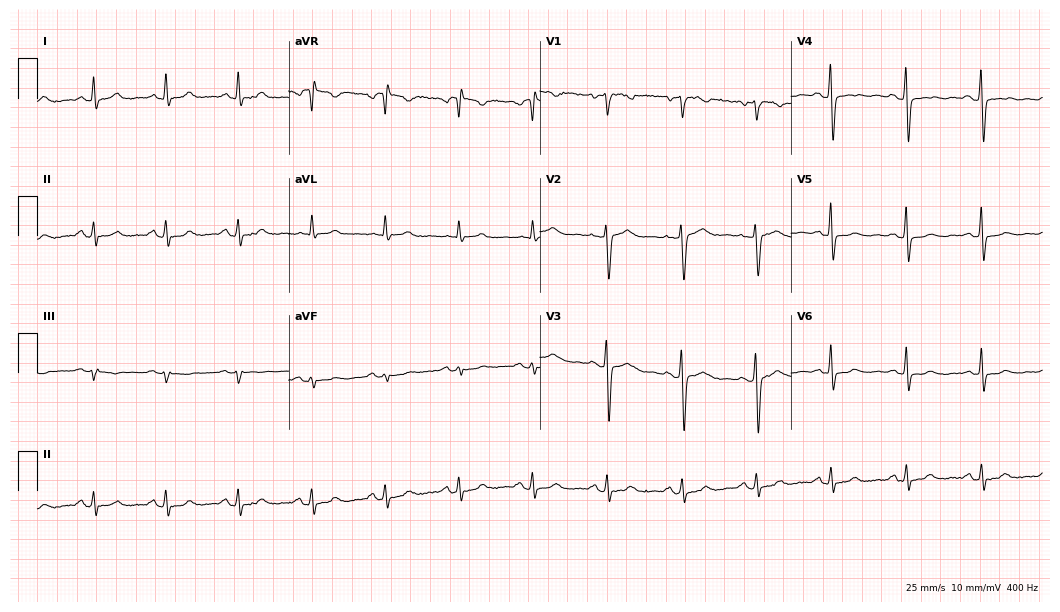
ECG (10.2-second recording at 400 Hz) — a female, 55 years old. Screened for six findings — first-degree AV block, right bundle branch block (RBBB), left bundle branch block (LBBB), sinus bradycardia, atrial fibrillation (AF), sinus tachycardia — none is recorded. Findings outside these six are not listed.